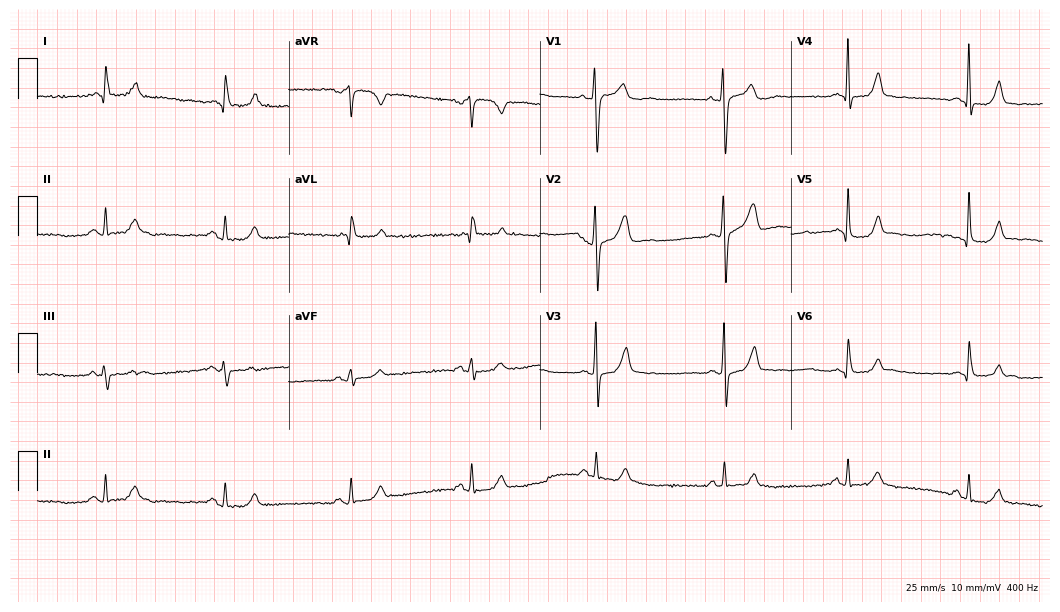
Resting 12-lead electrocardiogram. Patient: a 53-year-old woman. The tracing shows sinus bradycardia (a sinus rate of 50 beats per minute or less).